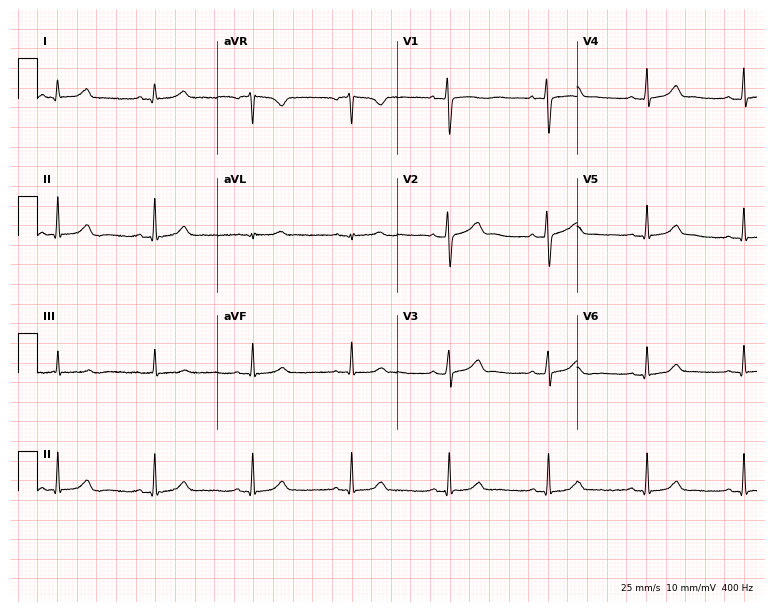
12-lead ECG from a 31-year-old woman. Recorded interpretation: within normal limits.